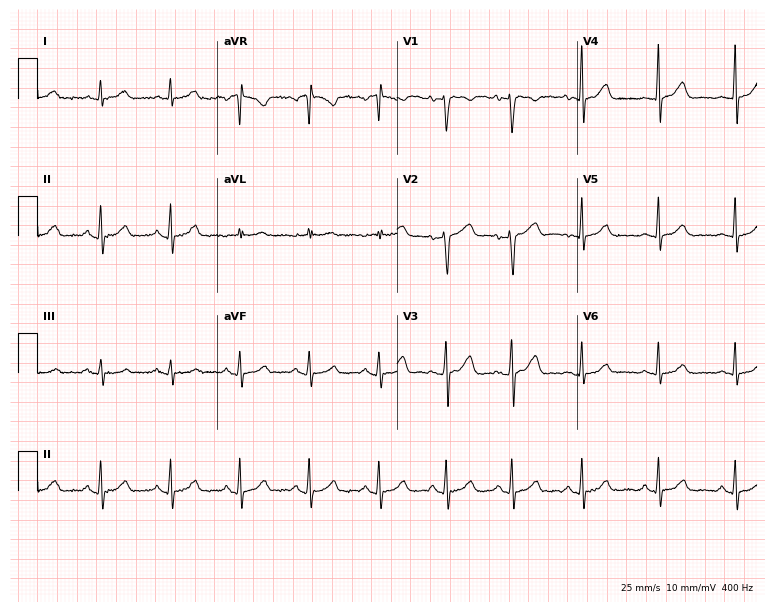
12-lead ECG from a 43-year-old woman. Screened for six findings — first-degree AV block, right bundle branch block (RBBB), left bundle branch block (LBBB), sinus bradycardia, atrial fibrillation (AF), sinus tachycardia — none is recorded. Other findings, if any, are not listed.